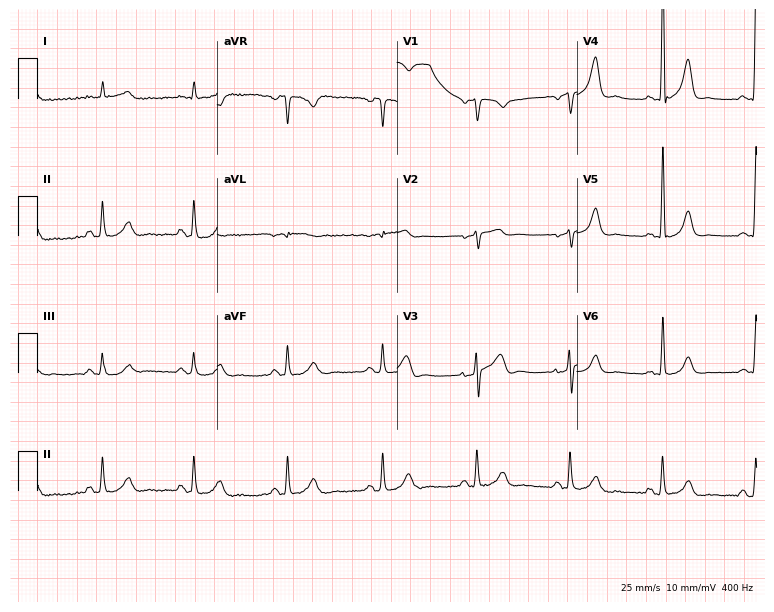
Electrocardiogram (7.3-second recording at 400 Hz), a man, 78 years old. Of the six screened findings (first-degree AV block, right bundle branch block, left bundle branch block, sinus bradycardia, atrial fibrillation, sinus tachycardia), none is recorded. Findings outside these six are not listed.